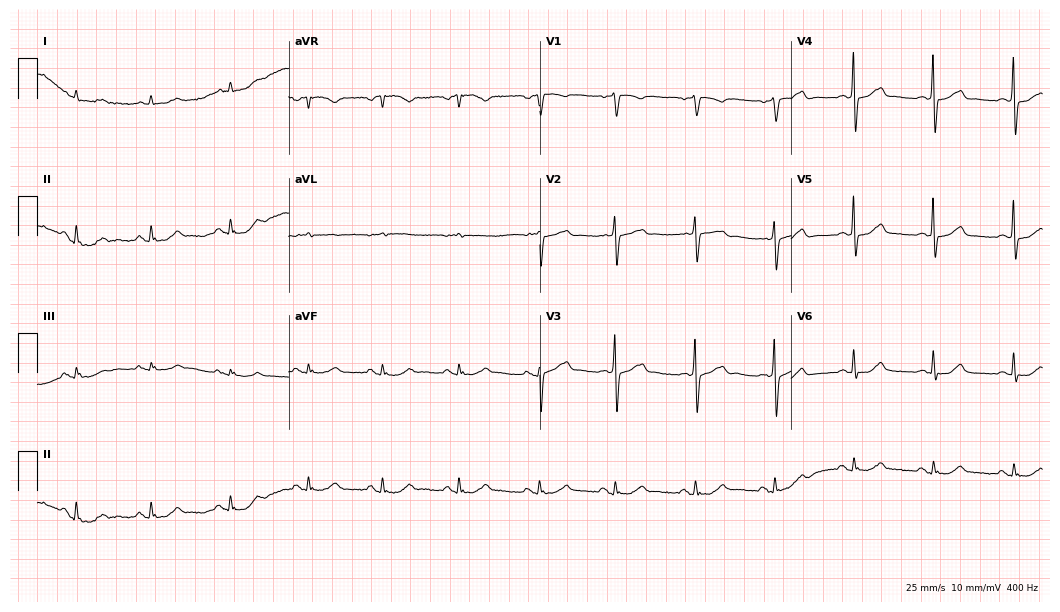
ECG — a 76-year-old male. Labelled as a normal ECG.